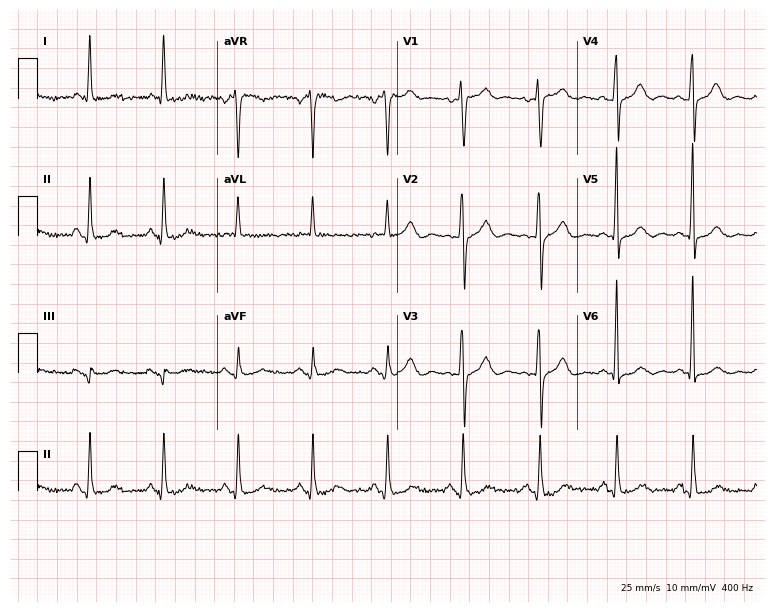
Electrocardiogram, a woman, 75 years old. Of the six screened findings (first-degree AV block, right bundle branch block, left bundle branch block, sinus bradycardia, atrial fibrillation, sinus tachycardia), none is recorded.